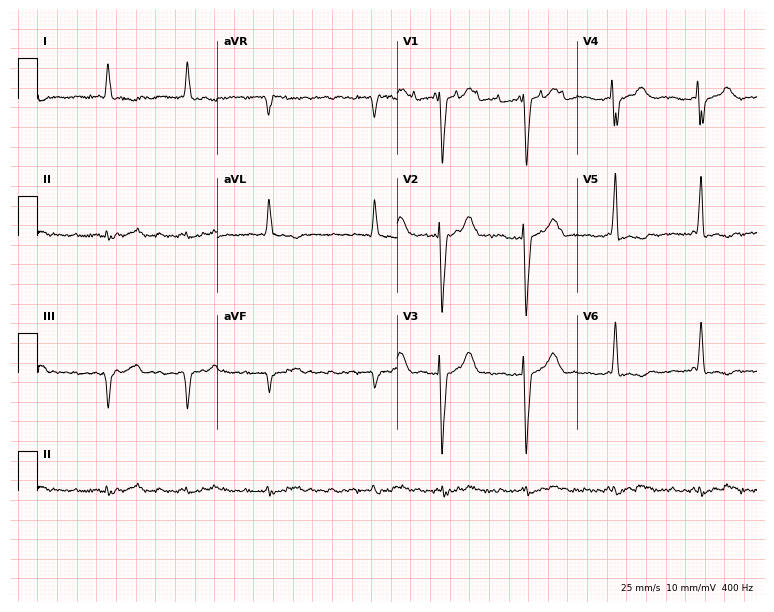
Standard 12-lead ECG recorded from a female, 84 years old. The tracing shows atrial fibrillation.